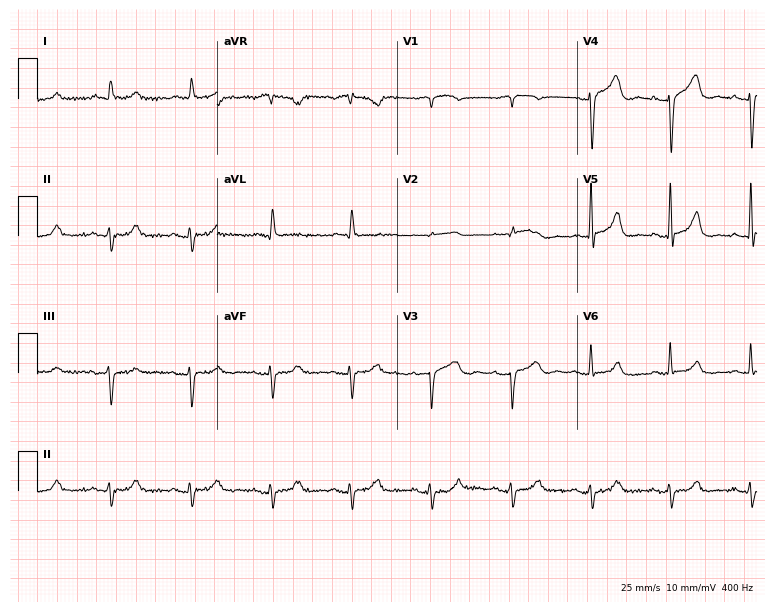
12-lead ECG (7.3-second recording at 400 Hz) from a male patient, 72 years old. Screened for six findings — first-degree AV block, right bundle branch block, left bundle branch block, sinus bradycardia, atrial fibrillation, sinus tachycardia — none is recorded. Findings outside these six are not listed.